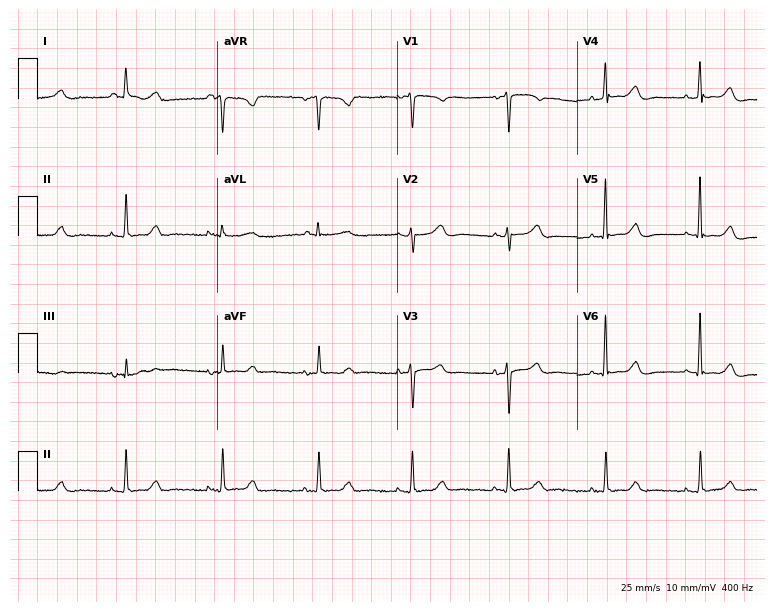
ECG (7.3-second recording at 400 Hz) — a female, 67 years old. Labelled as a normal ECG.